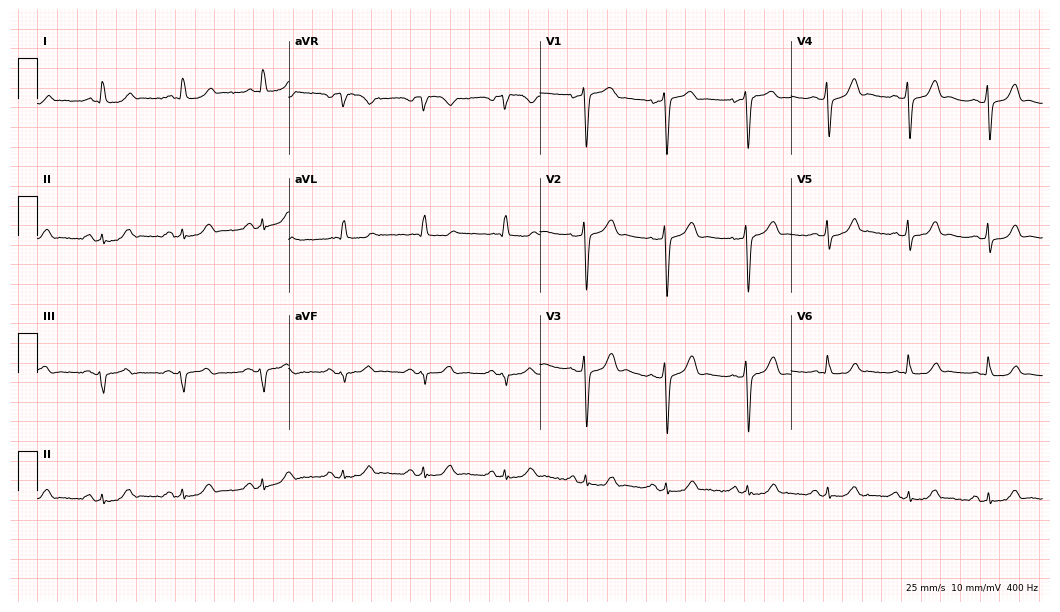
Standard 12-lead ECG recorded from a male patient, 83 years old. Read as a normal ECG.